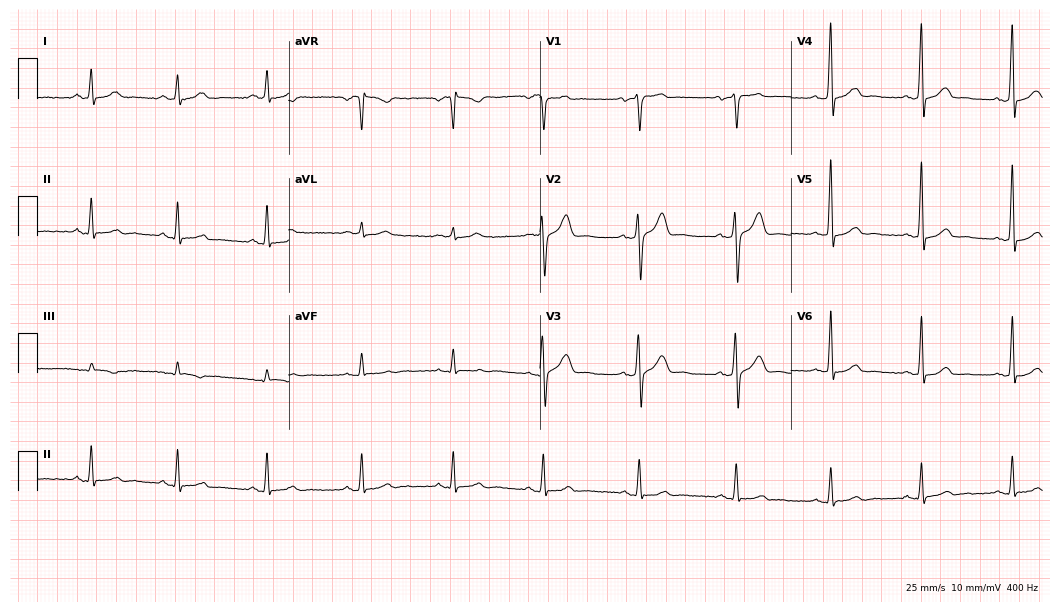
Electrocardiogram, a 31-year-old female patient. Overall reading on record: normal ECG.